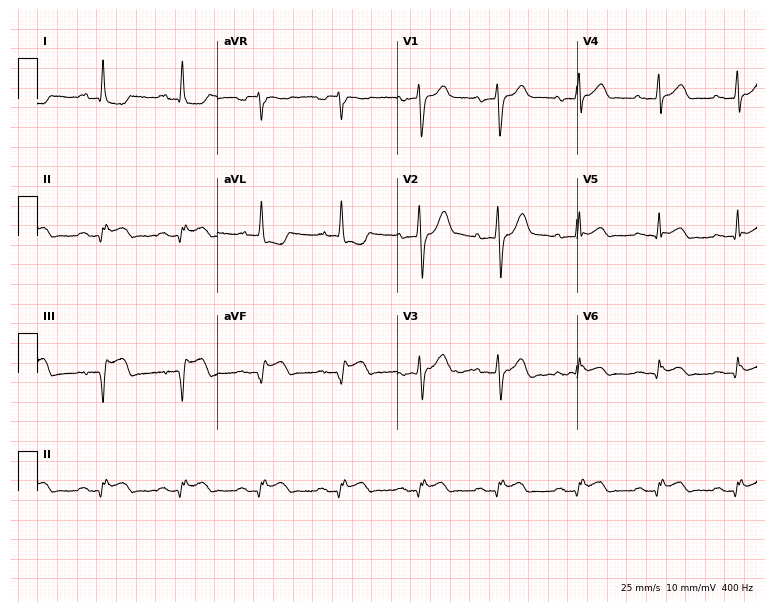
12-lead ECG (7.3-second recording at 400 Hz) from a 66-year-old male patient. Screened for six findings — first-degree AV block, right bundle branch block (RBBB), left bundle branch block (LBBB), sinus bradycardia, atrial fibrillation (AF), sinus tachycardia — none is recorded. Other findings, if any, are not listed.